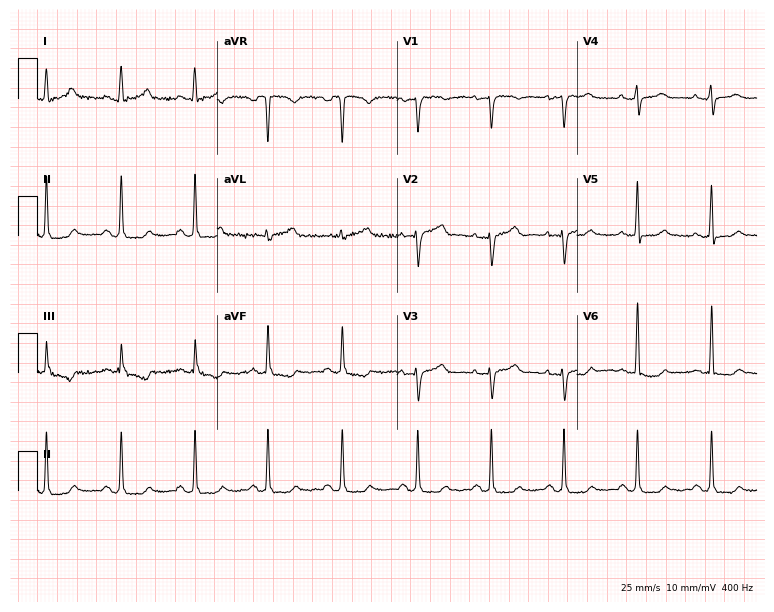
Standard 12-lead ECG recorded from a 51-year-old female (7.3-second recording at 400 Hz). Read as a normal ECG.